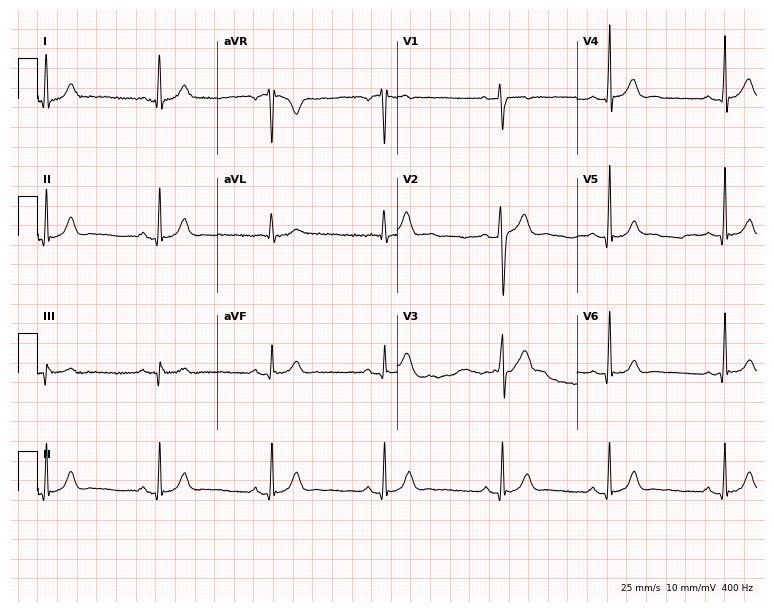
Standard 12-lead ECG recorded from a 29-year-old male patient (7.3-second recording at 400 Hz). Read as a normal ECG.